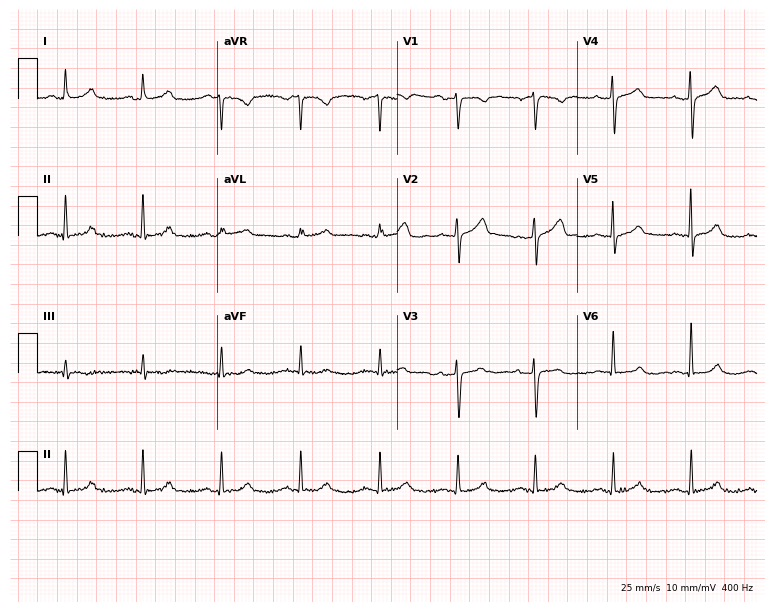
12-lead ECG from a female, 64 years old (7.3-second recording at 400 Hz). No first-degree AV block, right bundle branch block (RBBB), left bundle branch block (LBBB), sinus bradycardia, atrial fibrillation (AF) or sinus tachycardia recorded for this tracing.